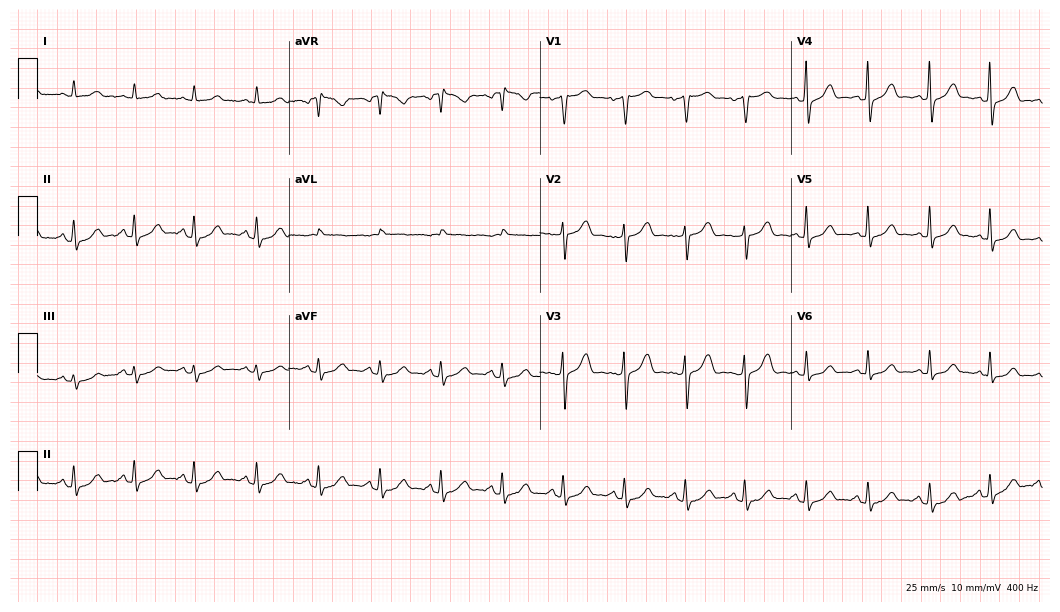
12-lead ECG (10.2-second recording at 400 Hz) from a female, 62 years old. Screened for six findings — first-degree AV block, right bundle branch block, left bundle branch block, sinus bradycardia, atrial fibrillation, sinus tachycardia — none is recorded. Other findings, if any, are not listed.